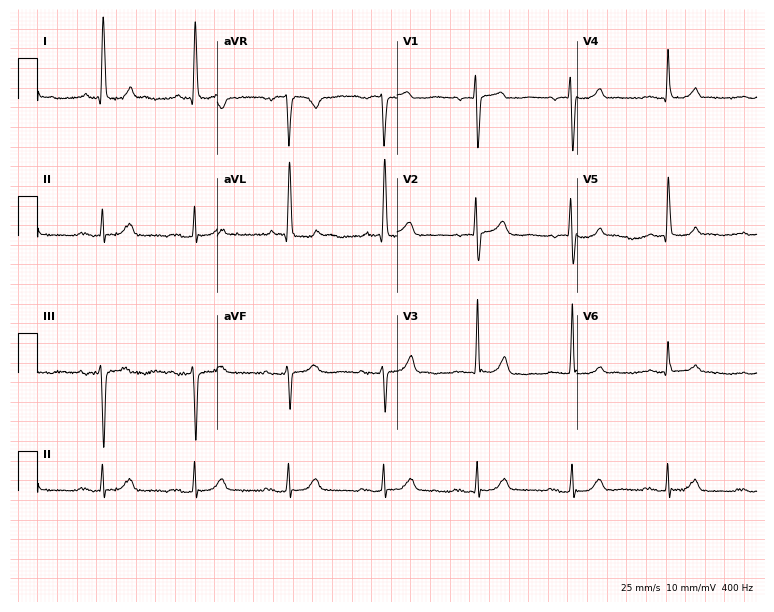
12-lead ECG from a female patient, 81 years old (7.3-second recording at 400 Hz). Shows first-degree AV block.